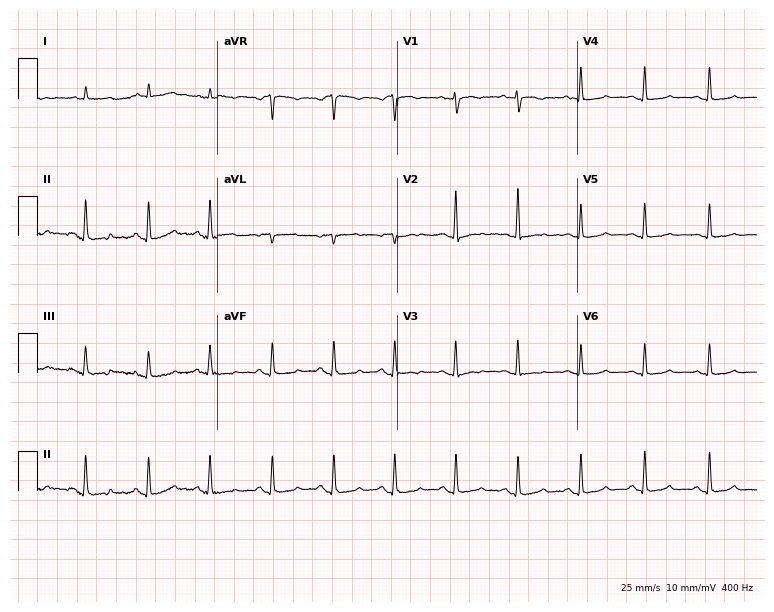
12-lead ECG from a 59-year-old female (7.3-second recording at 400 Hz). No first-degree AV block, right bundle branch block, left bundle branch block, sinus bradycardia, atrial fibrillation or sinus tachycardia recorded for this tracing.